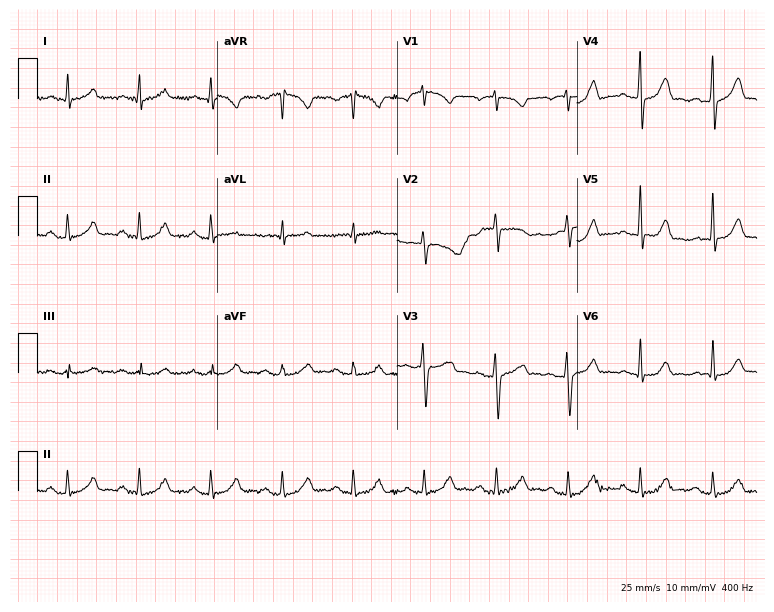
Standard 12-lead ECG recorded from a 58-year-old man (7.3-second recording at 400 Hz). Read as a normal ECG.